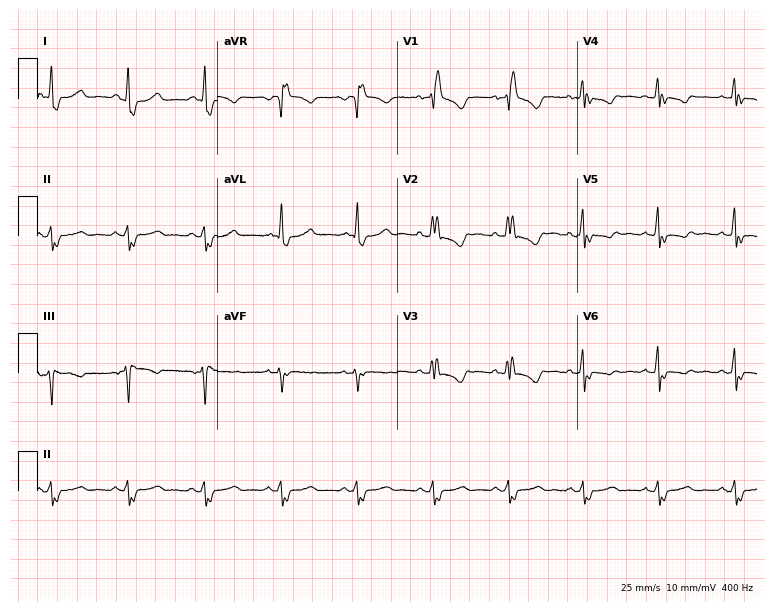
12-lead ECG from a 53-year-old woman. Shows right bundle branch block.